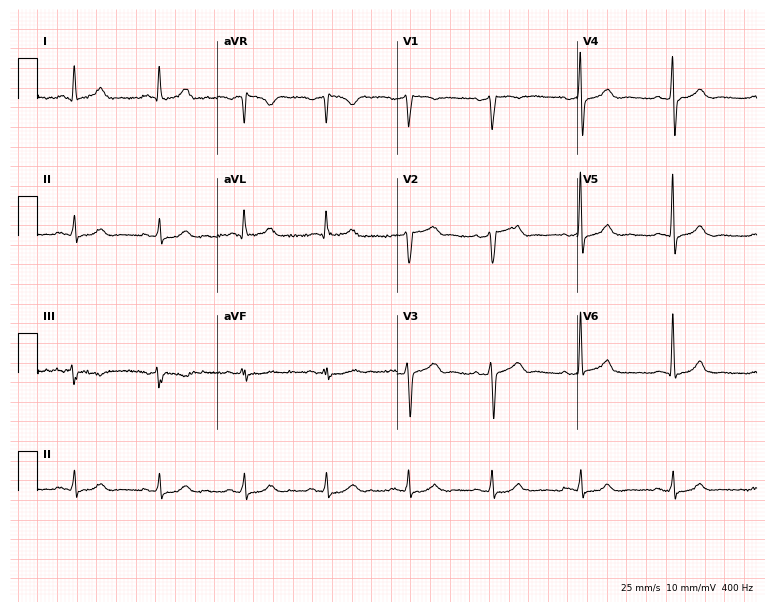
Resting 12-lead electrocardiogram (7.3-second recording at 400 Hz). Patient: a 57-year-old man. None of these six findings is recorded: first-degree AV block, right bundle branch block, left bundle branch block, sinus bradycardia, atrial fibrillation, sinus tachycardia.